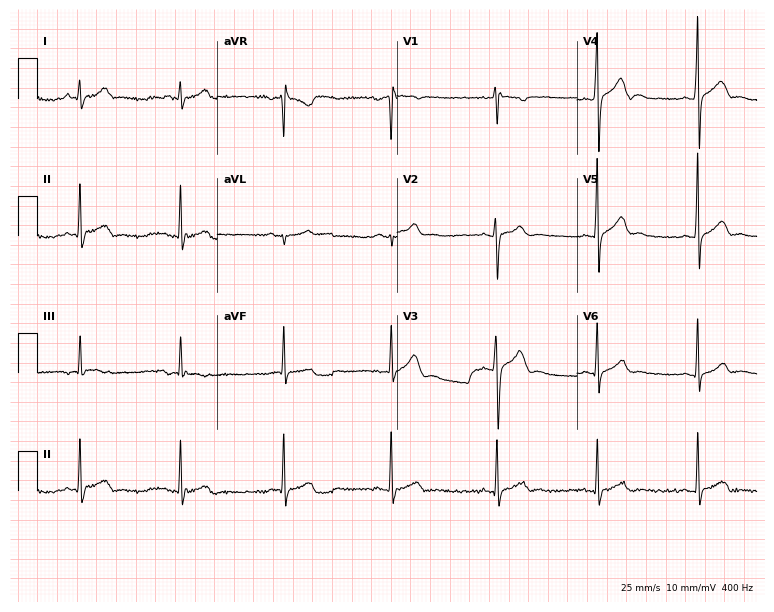
Standard 12-lead ECG recorded from a man, 22 years old (7.3-second recording at 400 Hz). None of these six findings is recorded: first-degree AV block, right bundle branch block (RBBB), left bundle branch block (LBBB), sinus bradycardia, atrial fibrillation (AF), sinus tachycardia. Other findings, if any, are not listed.